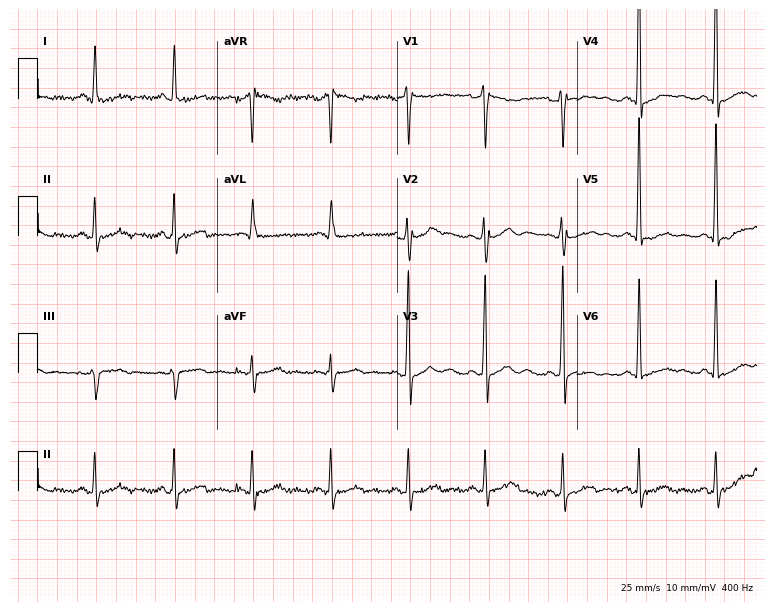
Standard 12-lead ECG recorded from a man, 44 years old. None of these six findings is recorded: first-degree AV block, right bundle branch block, left bundle branch block, sinus bradycardia, atrial fibrillation, sinus tachycardia. Findings outside these six are not listed.